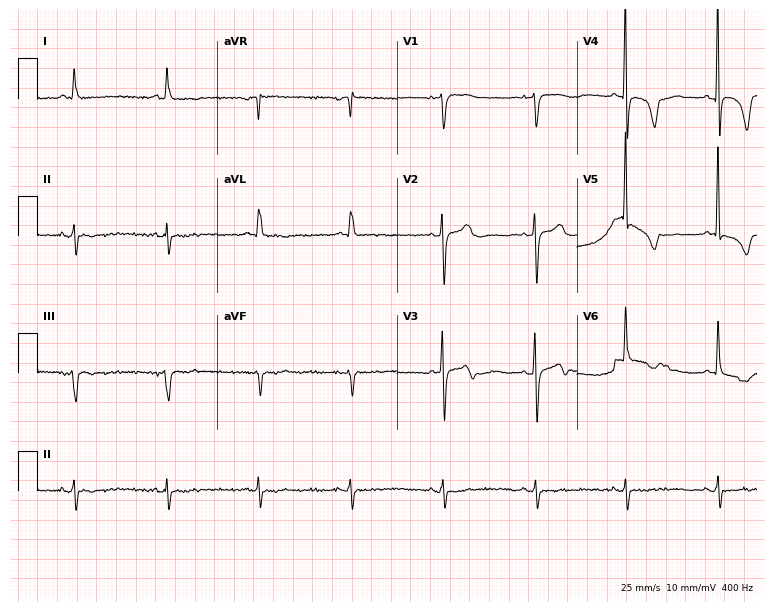
Electrocardiogram, a man, 71 years old. Of the six screened findings (first-degree AV block, right bundle branch block (RBBB), left bundle branch block (LBBB), sinus bradycardia, atrial fibrillation (AF), sinus tachycardia), none is recorded.